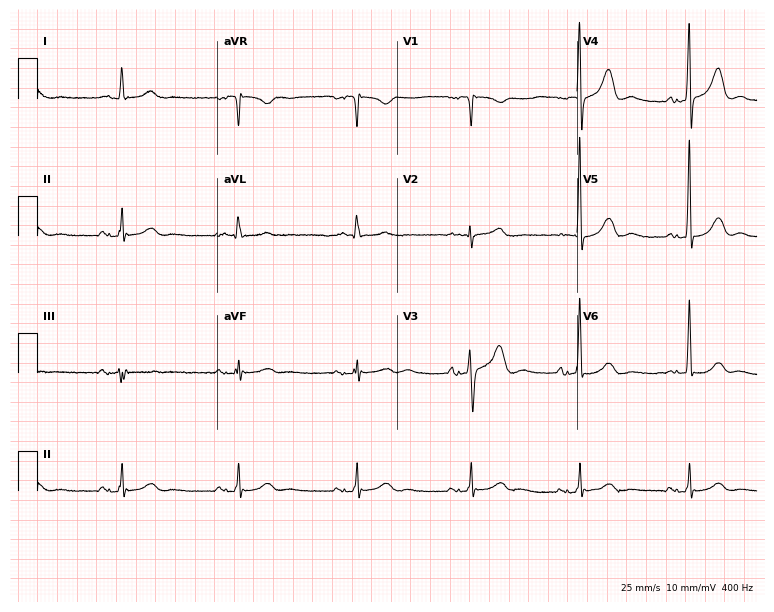
Resting 12-lead electrocardiogram (7.3-second recording at 400 Hz). Patient: a 67-year-old male. None of these six findings is recorded: first-degree AV block, right bundle branch block, left bundle branch block, sinus bradycardia, atrial fibrillation, sinus tachycardia.